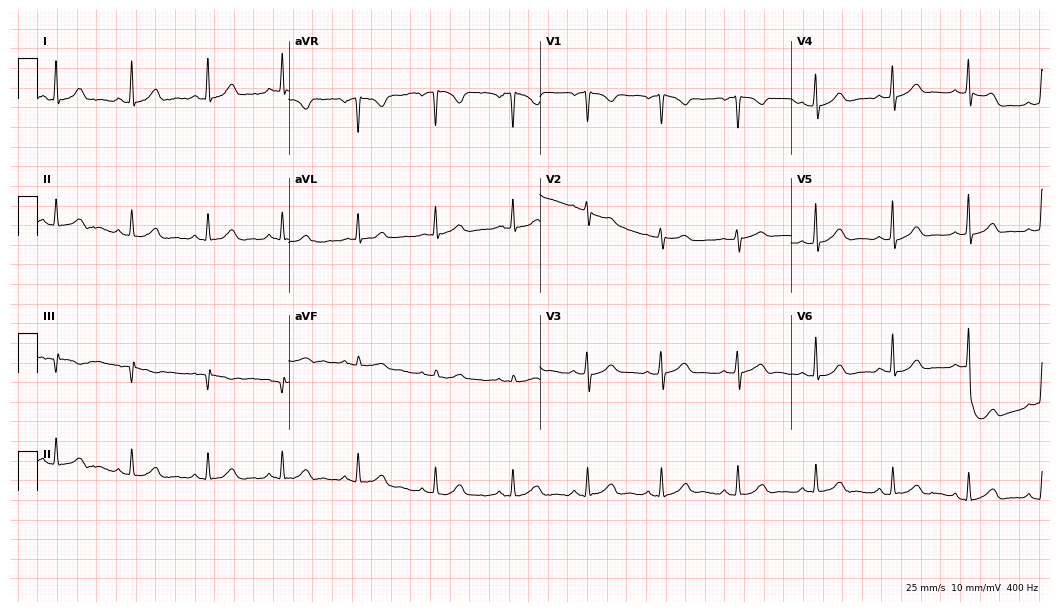
Electrocardiogram, a female, 40 years old. Overall reading on record: normal ECG.